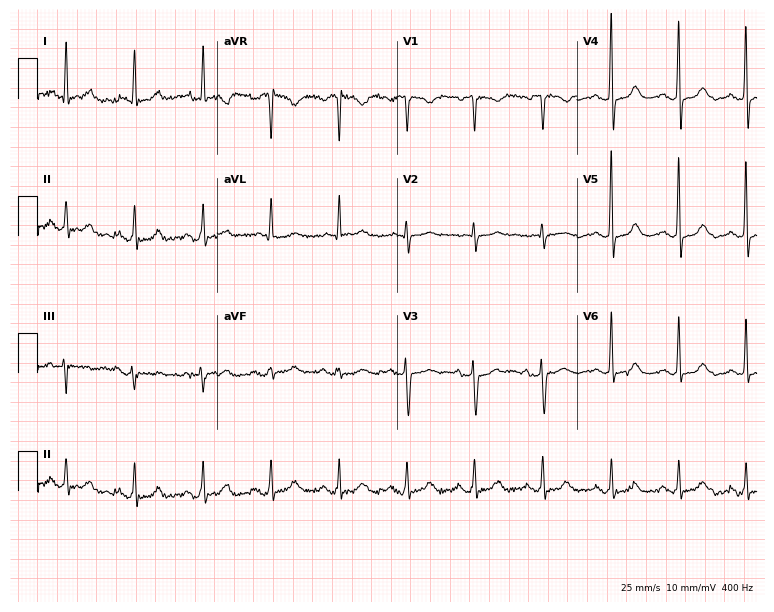
Resting 12-lead electrocardiogram. Patient: a woman, 71 years old. Read as a normal ECG.